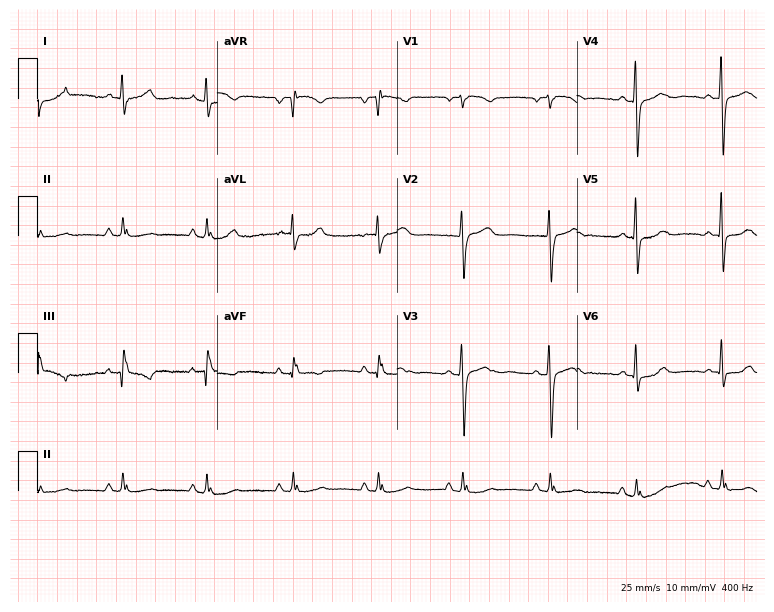
ECG — a woman, 50 years old. Screened for six findings — first-degree AV block, right bundle branch block, left bundle branch block, sinus bradycardia, atrial fibrillation, sinus tachycardia — none is recorded.